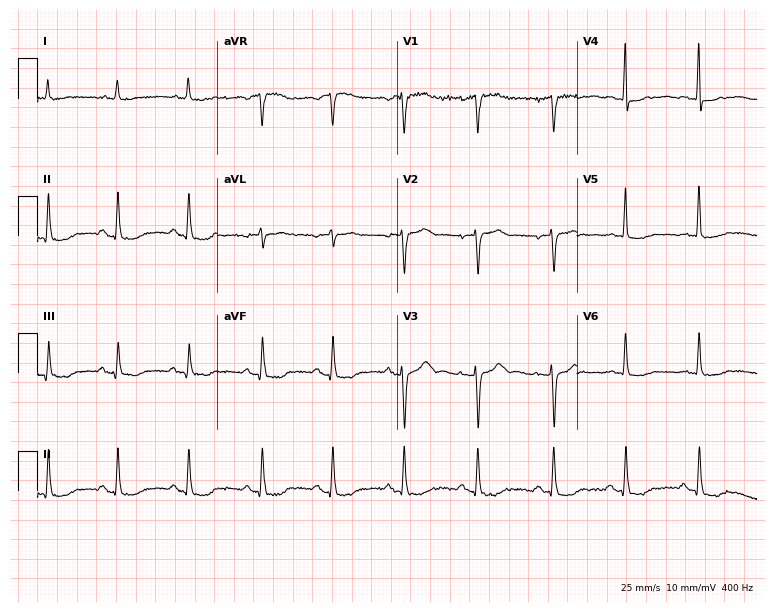
ECG (7.3-second recording at 400 Hz) — a 79-year-old woman. Labelled as a normal ECG.